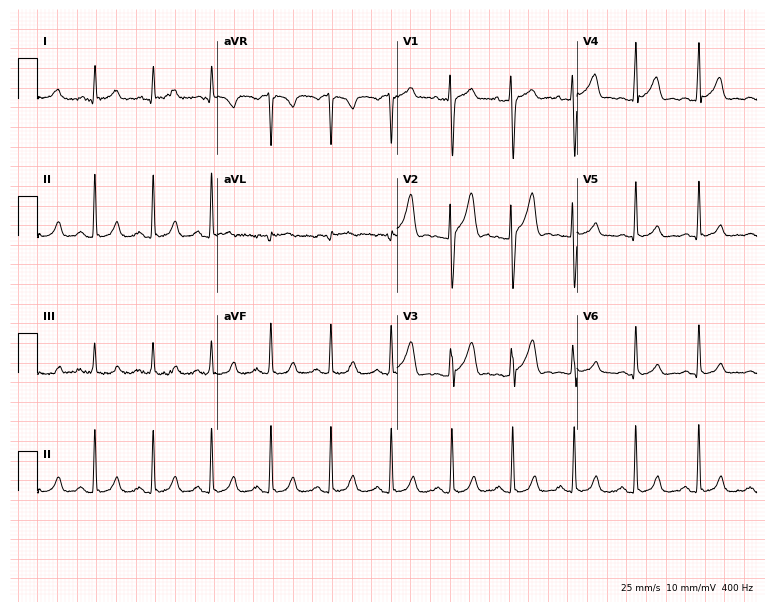
ECG — a male, 44 years old. Labelled as a normal ECG.